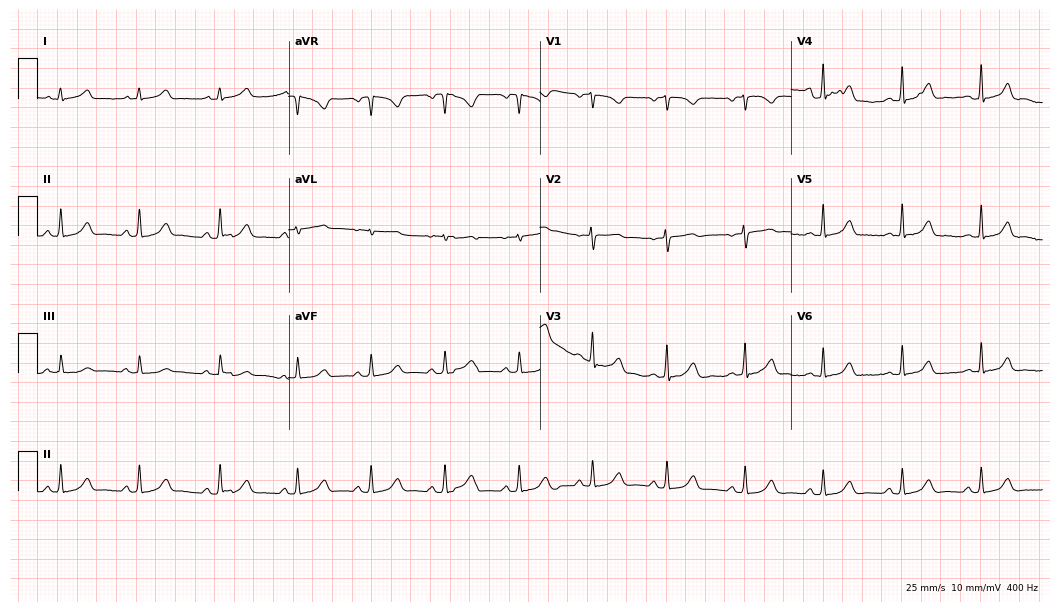
ECG (10.2-second recording at 400 Hz) — a 21-year-old female. Screened for six findings — first-degree AV block, right bundle branch block (RBBB), left bundle branch block (LBBB), sinus bradycardia, atrial fibrillation (AF), sinus tachycardia — none is recorded.